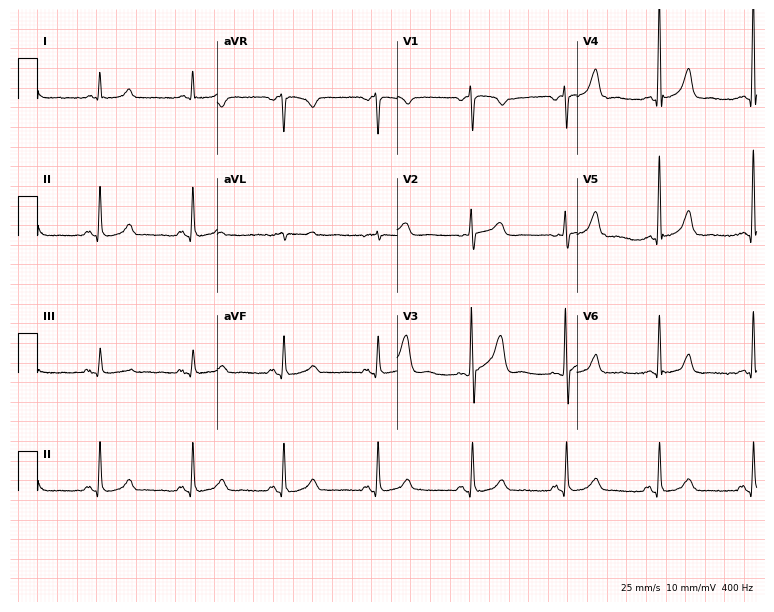
Standard 12-lead ECG recorded from a 64-year-old female. Read as a normal ECG.